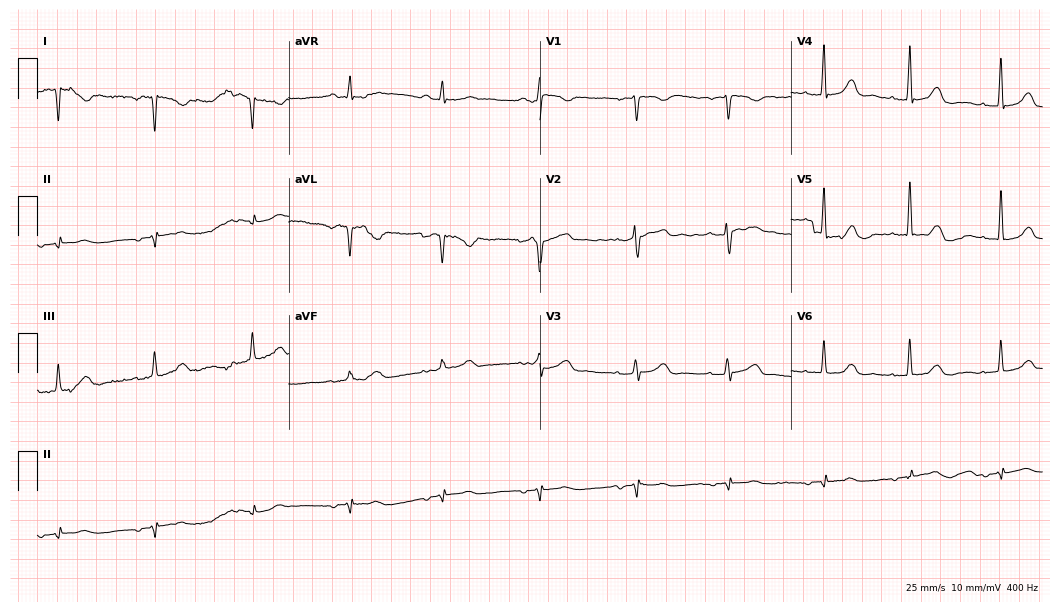
Standard 12-lead ECG recorded from a 55-year-old female. None of these six findings is recorded: first-degree AV block, right bundle branch block (RBBB), left bundle branch block (LBBB), sinus bradycardia, atrial fibrillation (AF), sinus tachycardia. Other findings, if any, are not listed.